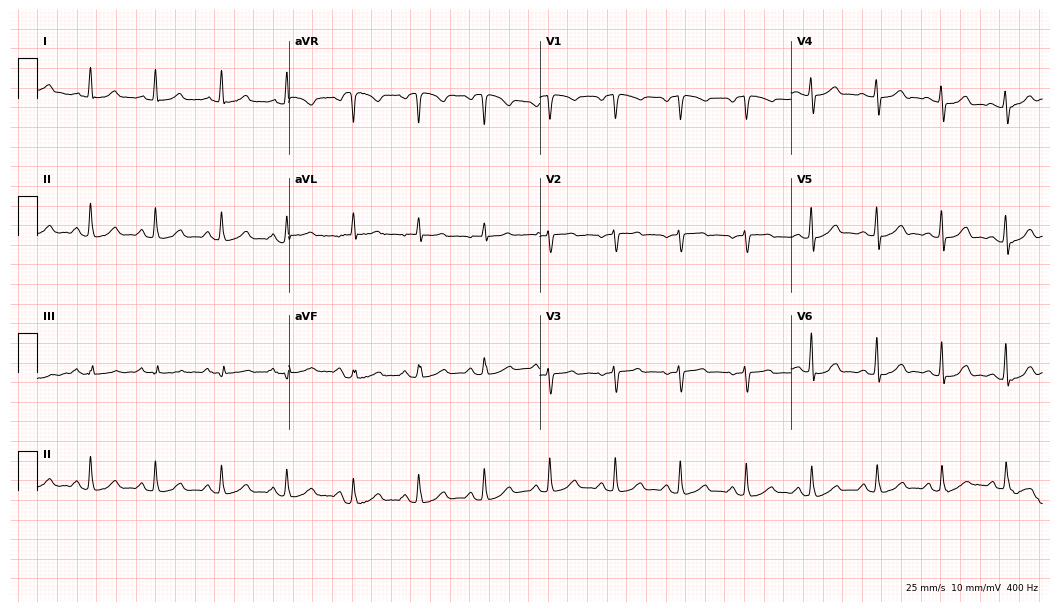
Electrocardiogram (10.2-second recording at 400 Hz), a female, 73 years old. Of the six screened findings (first-degree AV block, right bundle branch block (RBBB), left bundle branch block (LBBB), sinus bradycardia, atrial fibrillation (AF), sinus tachycardia), none is recorded.